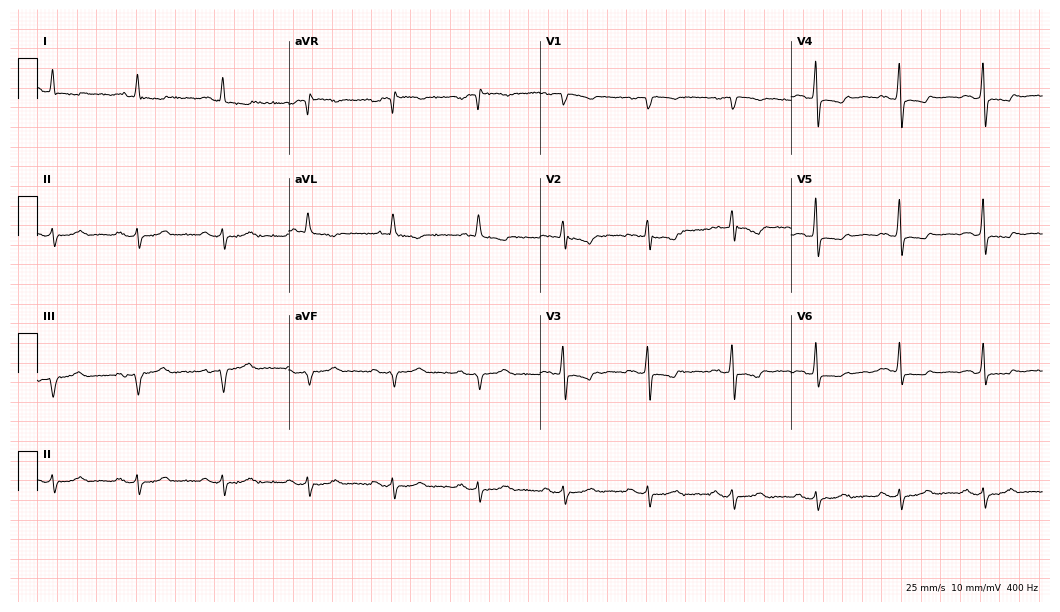
Electrocardiogram (10.2-second recording at 400 Hz), a 79-year-old man. Of the six screened findings (first-degree AV block, right bundle branch block (RBBB), left bundle branch block (LBBB), sinus bradycardia, atrial fibrillation (AF), sinus tachycardia), none is recorded.